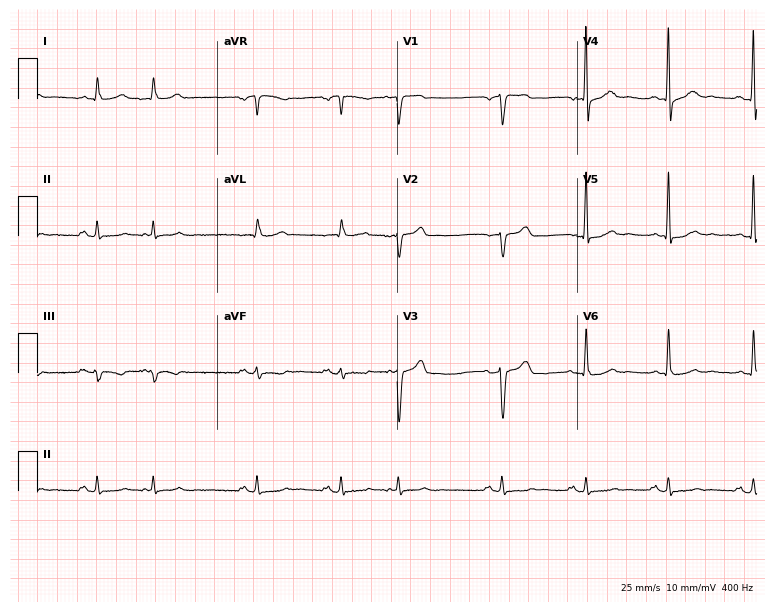
Electrocardiogram (7.3-second recording at 400 Hz), a 64-year-old male patient. Of the six screened findings (first-degree AV block, right bundle branch block, left bundle branch block, sinus bradycardia, atrial fibrillation, sinus tachycardia), none is recorded.